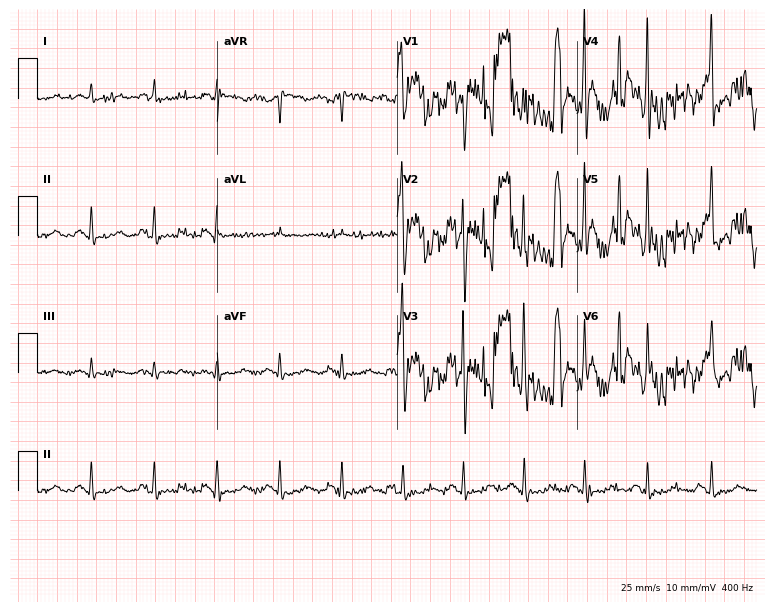
12-lead ECG from a female, 39 years old (7.3-second recording at 400 Hz). No first-degree AV block, right bundle branch block, left bundle branch block, sinus bradycardia, atrial fibrillation or sinus tachycardia recorded for this tracing.